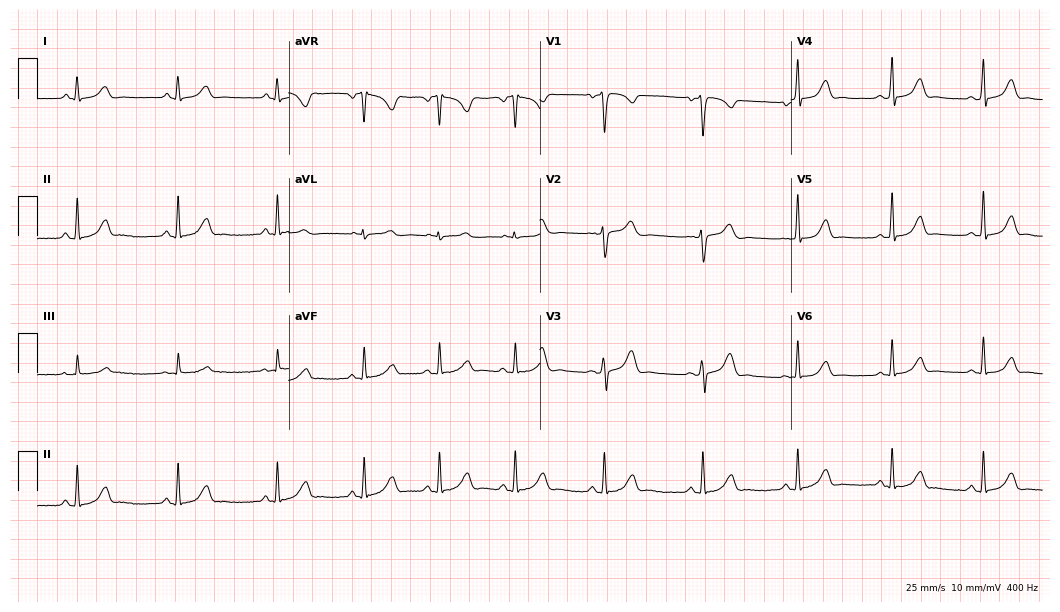
Electrocardiogram, a female, 28 years old. Overall reading on record: normal ECG.